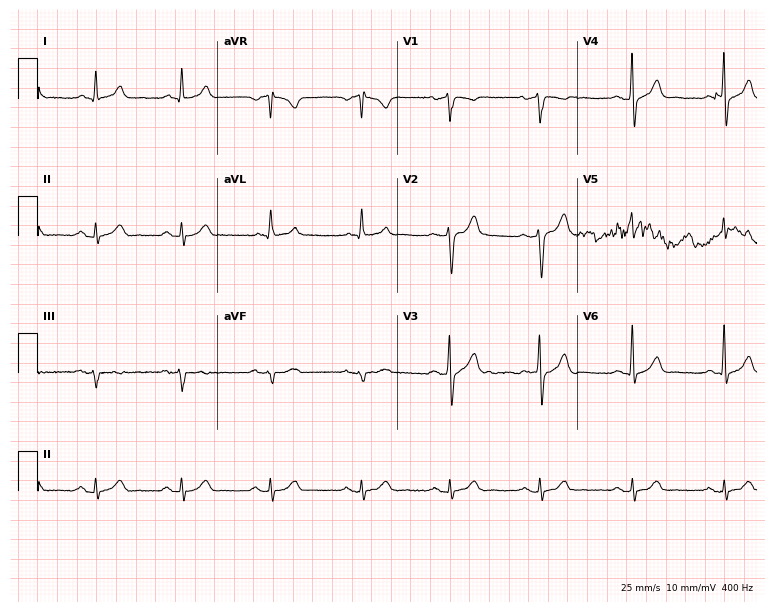
Standard 12-lead ECG recorded from a man, 45 years old. Read as a normal ECG.